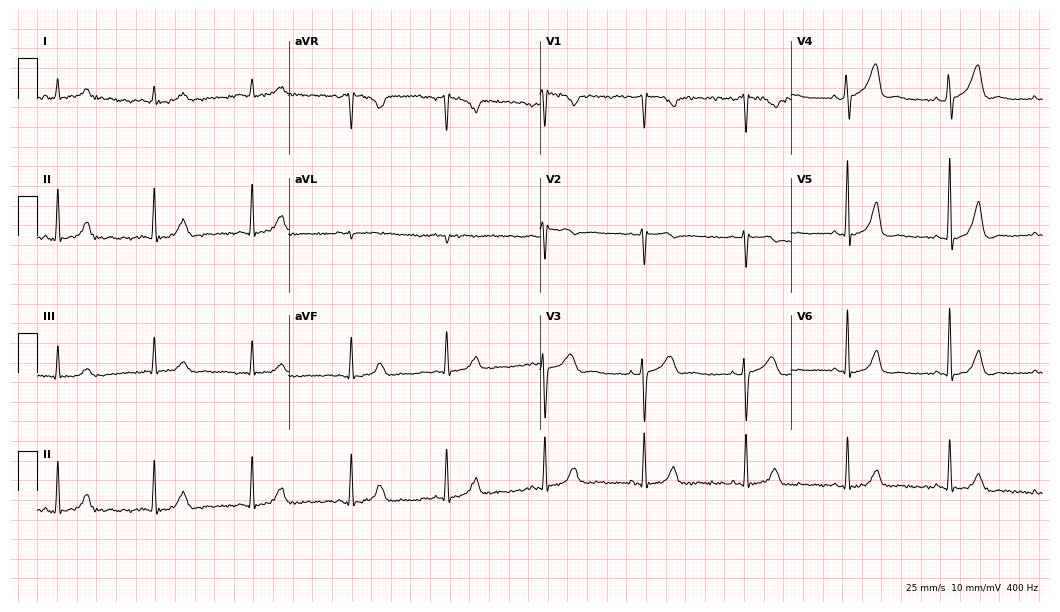
12-lead ECG from a male, 50 years old. Recorded interpretation: within normal limits.